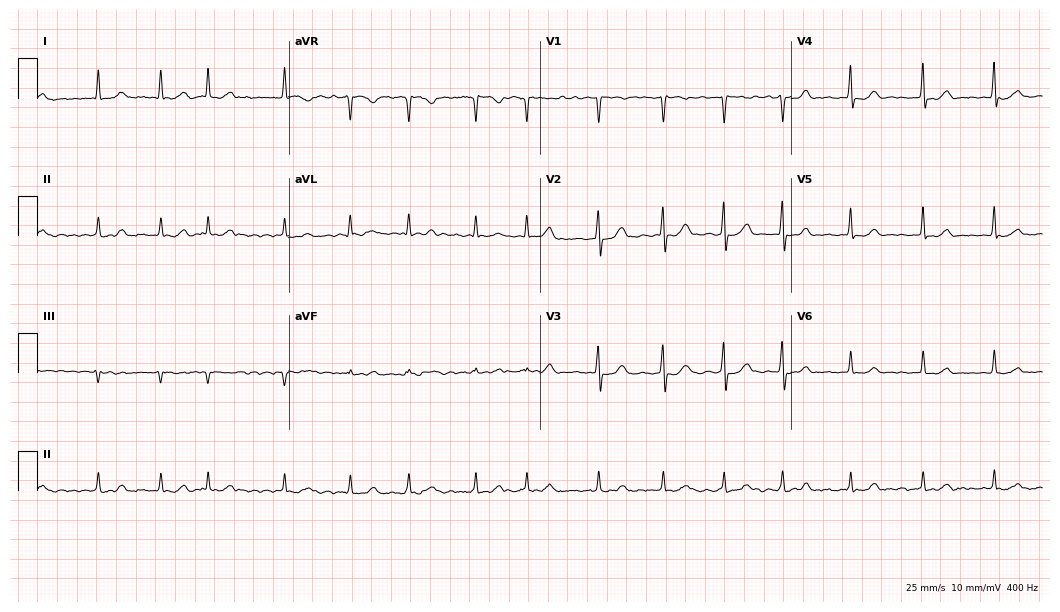
Resting 12-lead electrocardiogram. Patient: a man, 77 years old. The tracing shows atrial fibrillation.